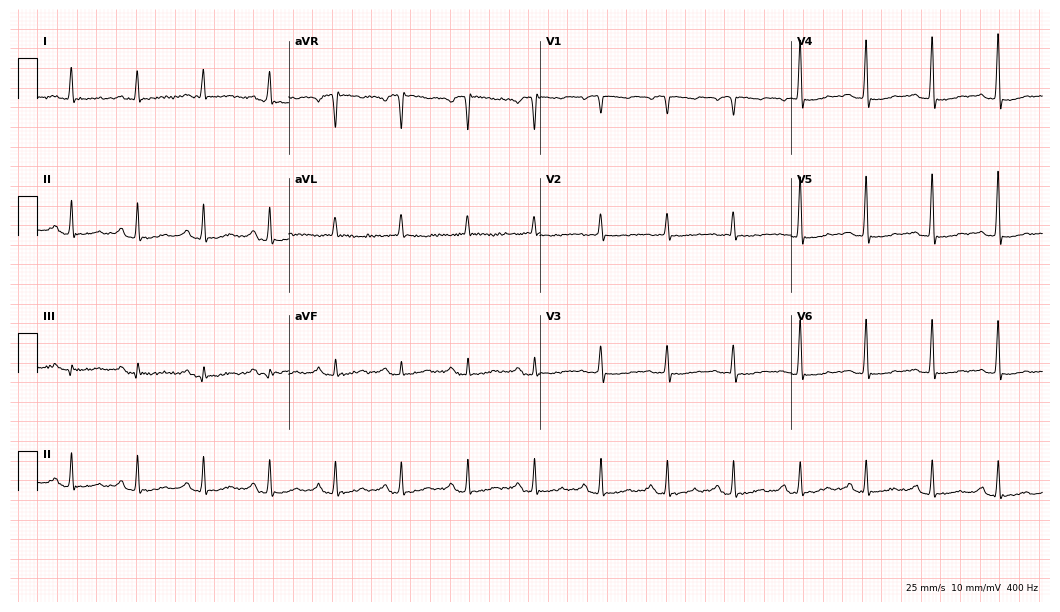
ECG — a 61-year-old female patient. Screened for six findings — first-degree AV block, right bundle branch block, left bundle branch block, sinus bradycardia, atrial fibrillation, sinus tachycardia — none is recorded. Only these six findings were labelled.